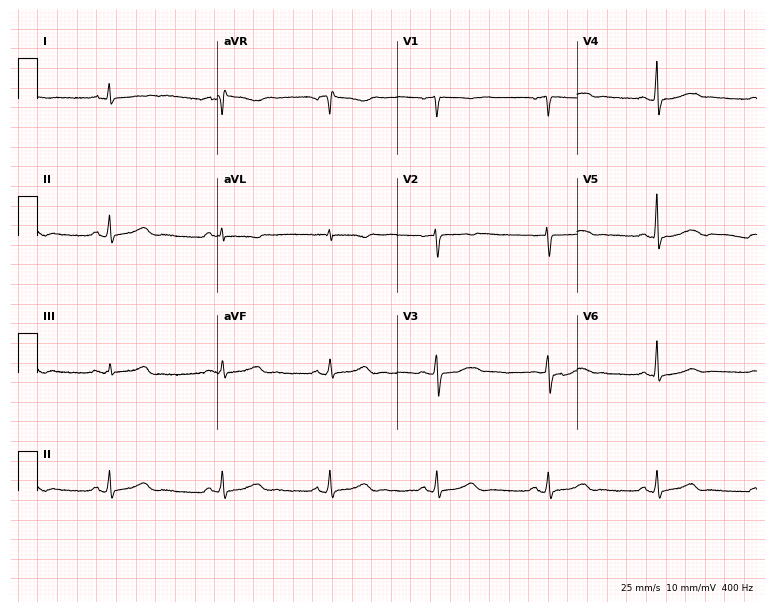
ECG (7.3-second recording at 400 Hz) — a 39-year-old female patient. Screened for six findings — first-degree AV block, right bundle branch block, left bundle branch block, sinus bradycardia, atrial fibrillation, sinus tachycardia — none is recorded. Other findings, if any, are not listed.